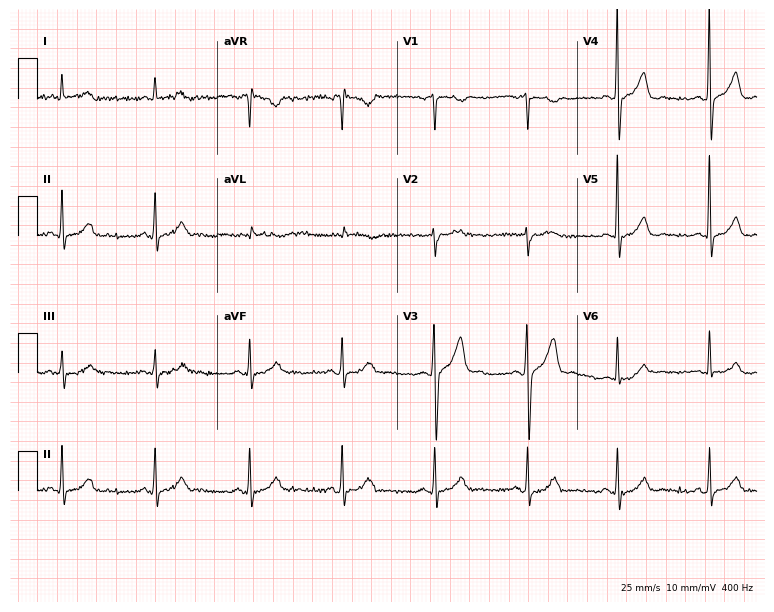
12-lead ECG from a 76-year-old male patient. Recorded interpretation: within normal limits.